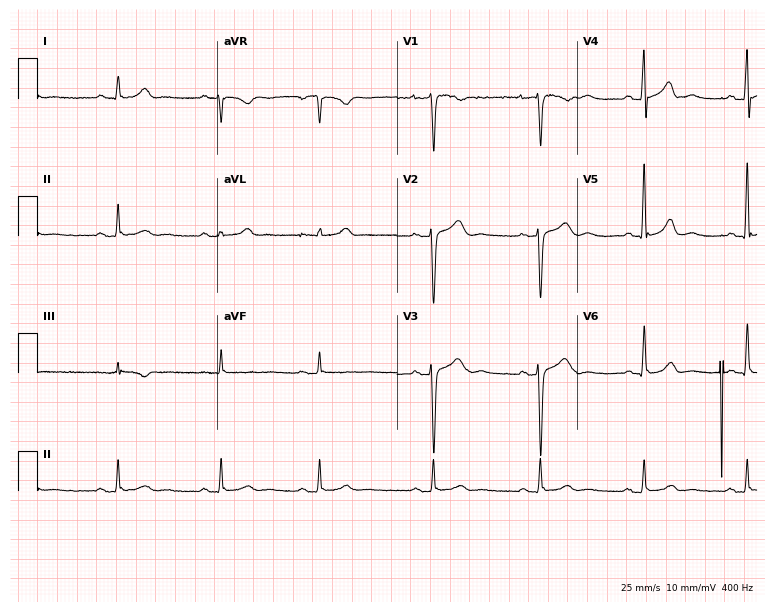
12-lead ECG from a female patient, 47 years old (7.3-second recording at 400 Hz). Recorded interpretation: within normal limits.